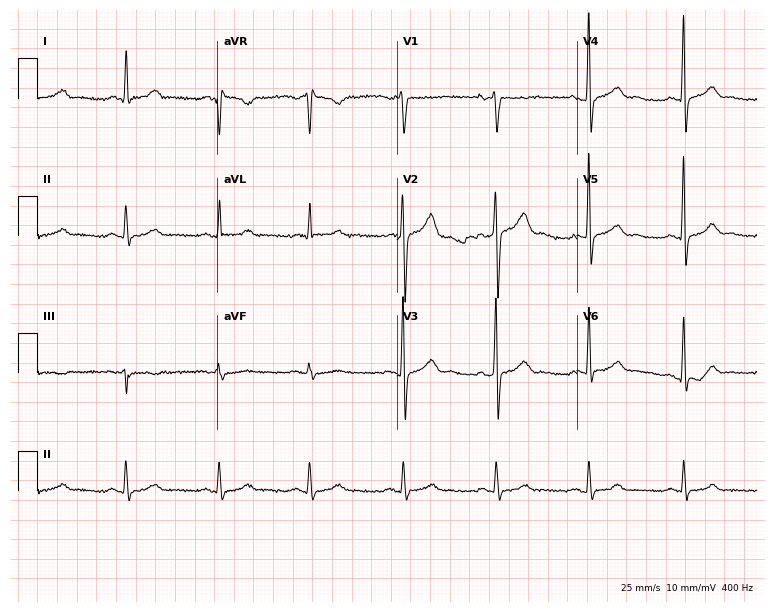
Standard 12-lead ECG recorded from a man, 61 years old. Read as a normal ECG.